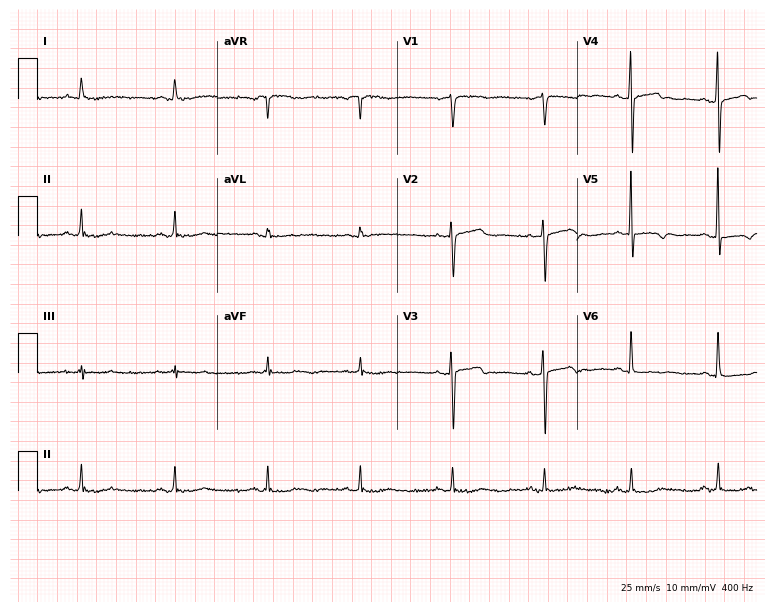
12-lead ECG from a 62-year-old woman (7.3-second recording at 400 Hz). No first-degree AV block, right bundle branch block, left bundle branch block, sinus bradycardia, atrial fibrillation or sinus tachycardia recorded for this tracing.